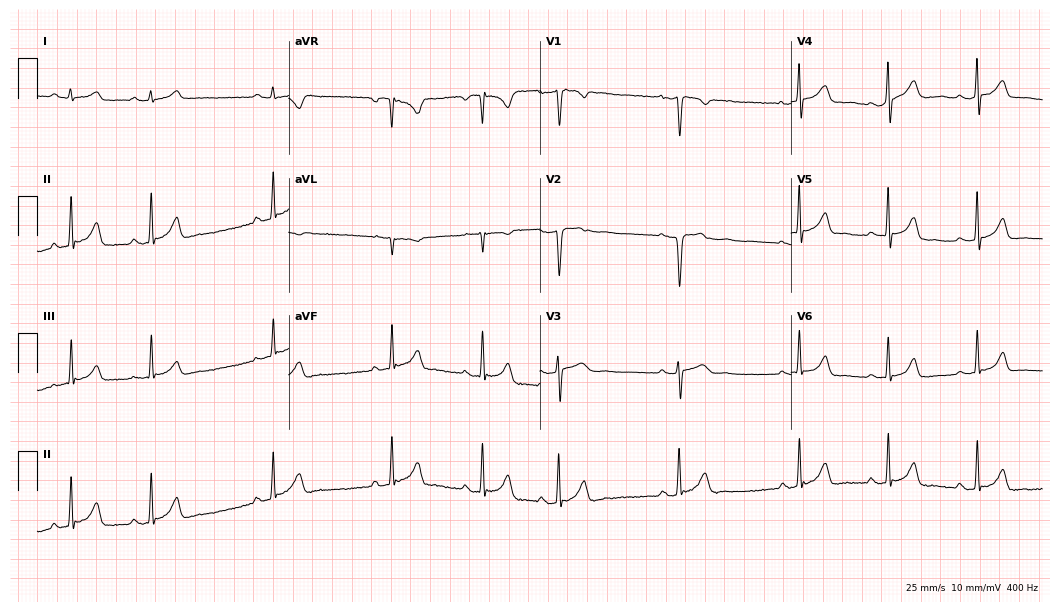
ECG (10.2-second recording at 400 Hz) — an 18-year-old female patient. Screened for six findings — first-degree AV block, right bundle branch block, left bundle branch block, sinus bradycardia, atrial fibrillation, sinus tachycardia — none is recorded. Findings outside these six are not listed.